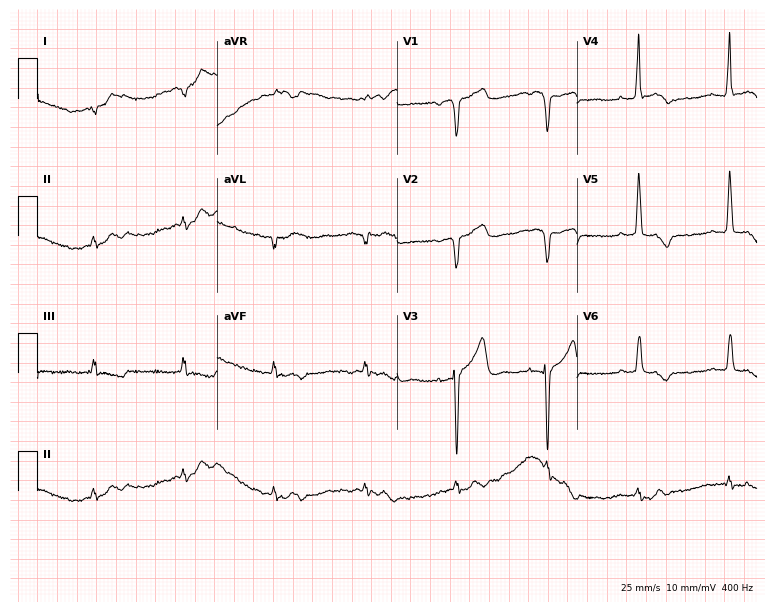
12-lead ECG (7.3-second recording at 400 Hz) from a 62-year-old man. Screened for six findings — first-degree AV block, right bundle branch block, left bundle branch block, sinus bradycardia, atrial fibrillation, sinus tachycardia — none is recorded.